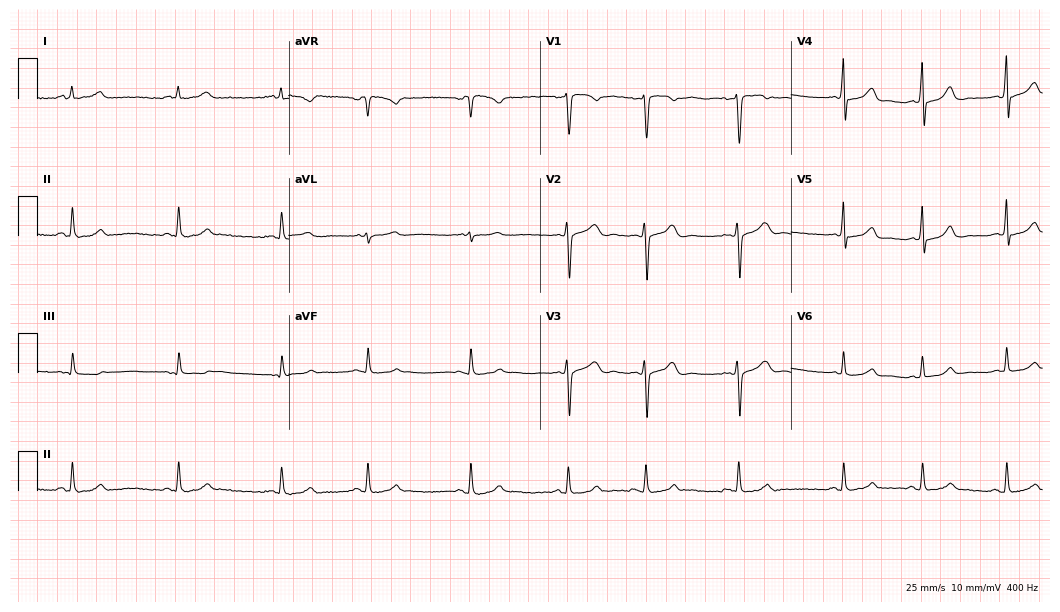
Resting 12-lead electrocardiogram (10.2-second recording at 400 Hz). Patient: a female, 17 years old. Read as a normal ECG.